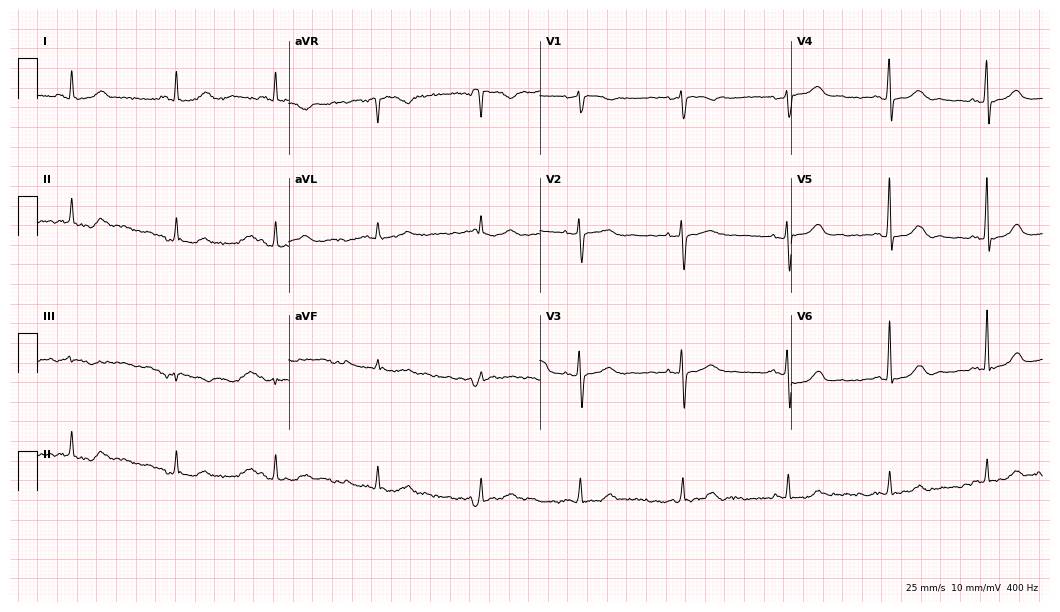
Standard 12-lead ECG recorded from a female, 60 years old (10.2-second recording at 400 Hz). None of these six findings is recorded: first-degree AV block, right bundle branch block (RBBB), left bundle branch block (LBBB), sinus bradycardia, atrial fibrillation (AF), sinus tachycardia.